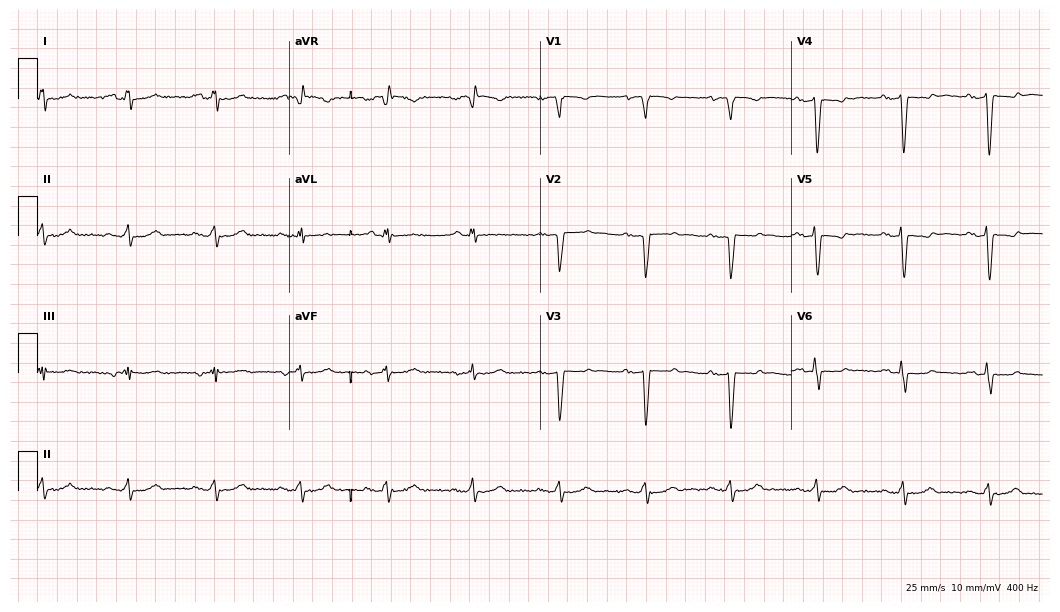
Electrocardiogram (10.2-second recording at 400 Hz), a man, 76 years old. Of the six screened findings (first-degree AV block, right bundle branch block (RBBB), left bundle branch block (LBBB), sinus bradycardia, atrial fibrillation (AF), sinus tachycardia), none is recorded. Only these six findings were labelled.